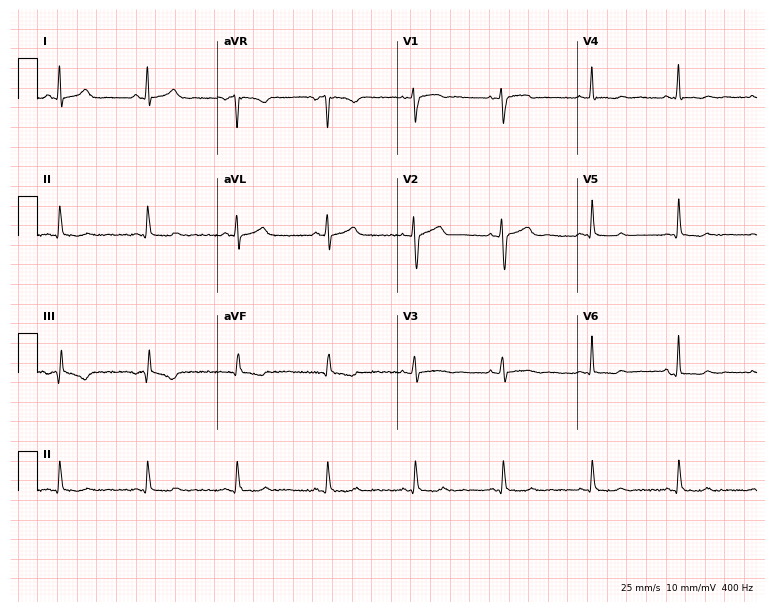
Standard 12-lead ECG recorded from a 44-year-old male. None of these six findings is recorded: first-degree AV block, right bundle branch block, left bundle branch block, sinus bradycardia, atrial fibrillation, sinus tachycardia. Findings outside these six are not listed.